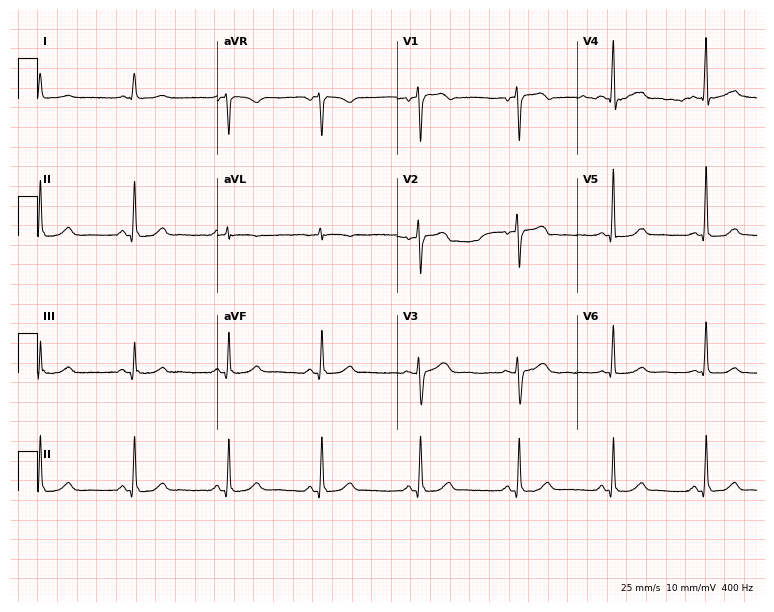
Standard 12-lead ECG recorded from a woman, 58 years old (7.3-second recording at 400 Hz). None of these six findings is recorded: first-degree AV block, right bundle branch block (RBBB), left bundle branch block (LBBB), sinus bradycardia, atrial fibrillation (AF), sinus tachycardia. Only these six findings were labelled.